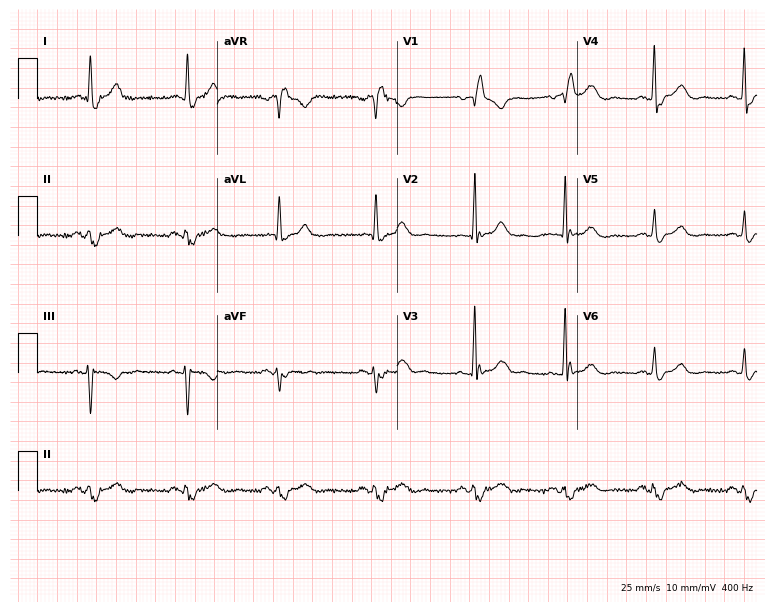
Resting 12-lead electrocardiogram. Patient: a 70-year-old woman. The tracing shows right bundle branch block.